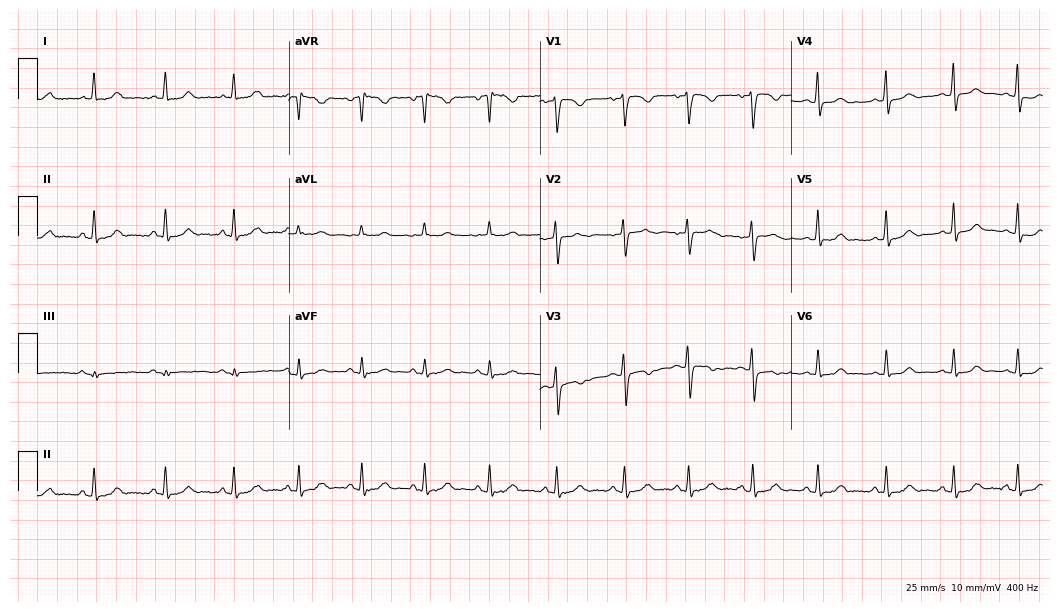
ECG (10.2-second recording at 400 Hz) — a woman, 30 years old. Screened for six findings — first-degree AV block, right bundle branch block (RBBB), left bundle branch block (LBBB), sinus bradycardia, atrial fibrillation (AF), sinus tachycardia — none is recorded. Findings outside these six are not listed.